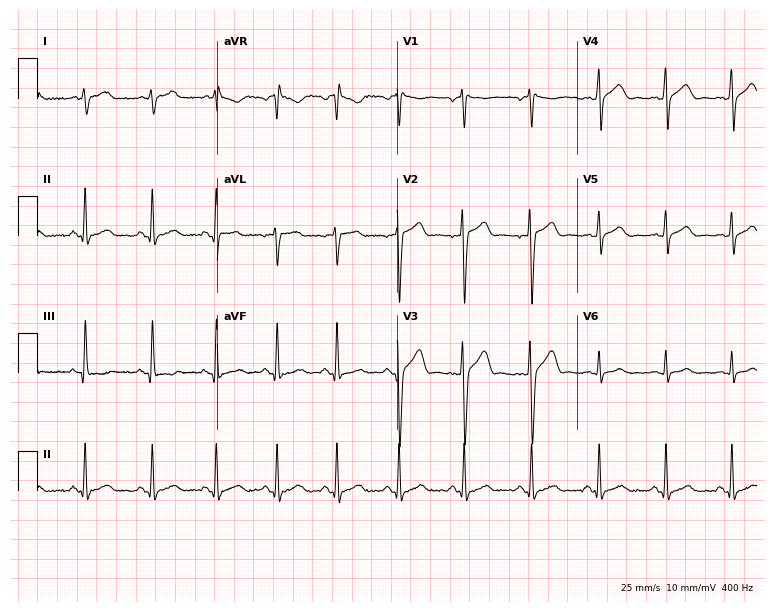
Electrocardiogram (7.3-second recording at 400 Hz), a 34-year-old male patient. Of the six screened findings (first-degree AV block, right bundle branch block (RBBB), left bundle branch block (LBBB), sinus bradycardia, atrial fibrillation (AF), sinus tachycardia), none is recorded. Only these six findings were labelled.